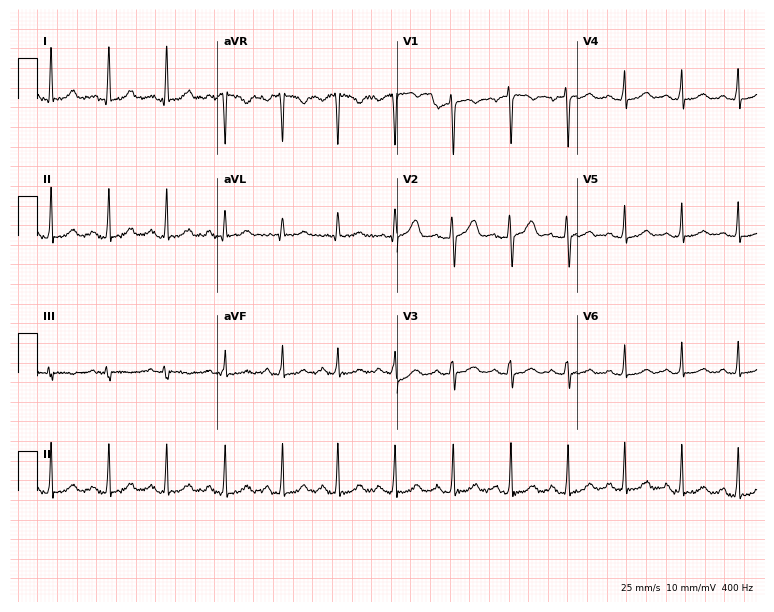
12-lead ECG (7.3-second recording at 400 Hz) from a 42-year-old female patient. Findings include sinus tachycardia (a sinus rate of 100 beats per minute or more).